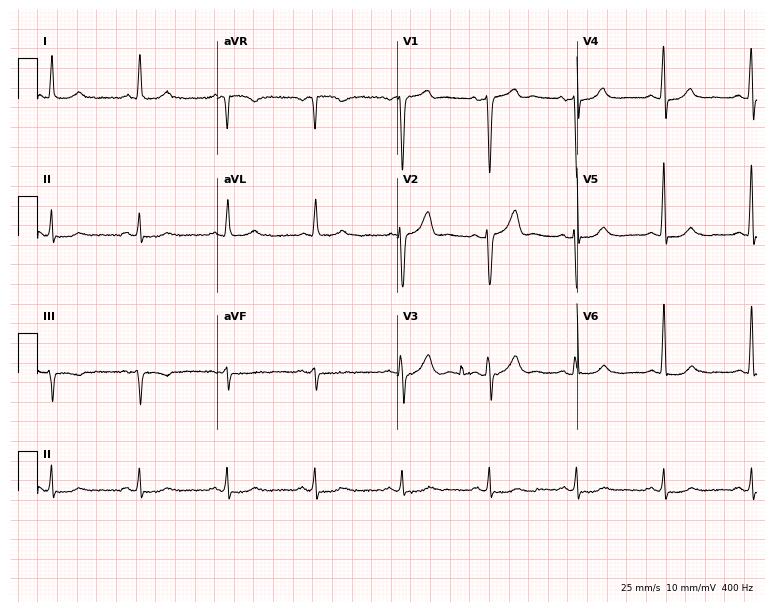
Standard 12-lead ECG recorded from a male, 74 years old. None of these six findings is recorded: first-degree AV block, right bundle branch block, left bundle branch block, sinus bradycardia, atrial fibrillation, sinus tachycardia.